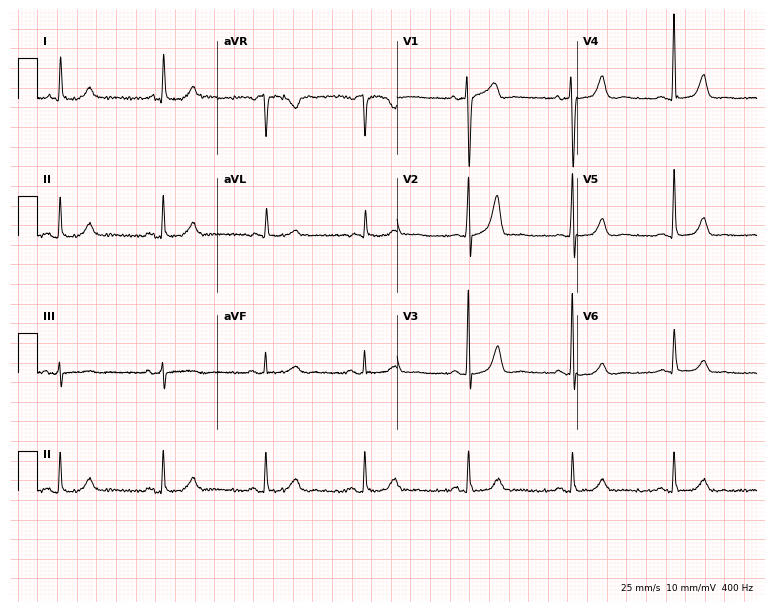
12-lead ECG from a female, 76 years old. Recorded interpretation: within normal limits.